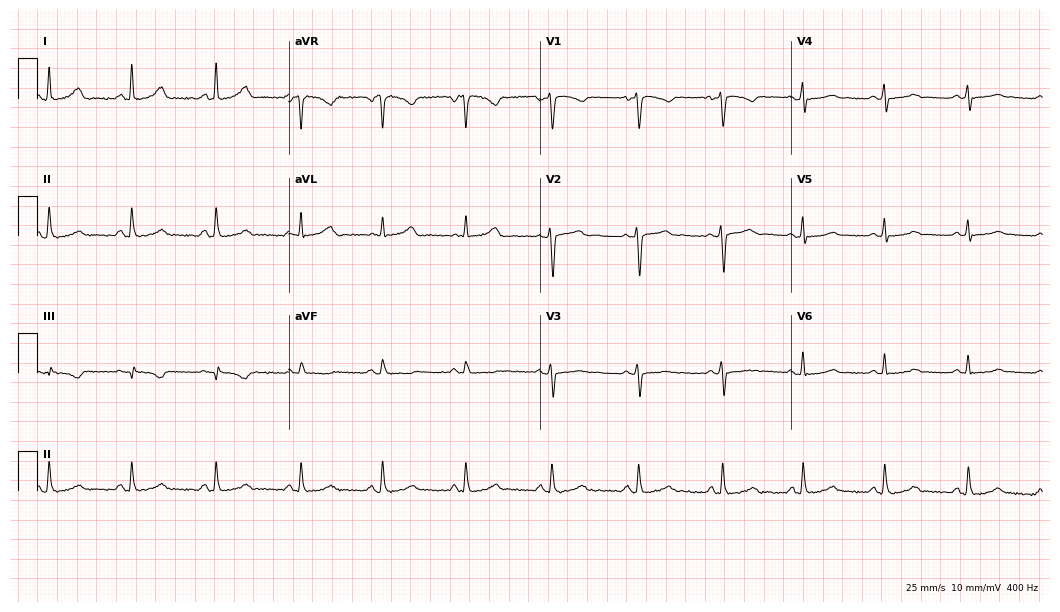
Resting 12-lead electrocardiogram. Patient: a 33-year-old woman. None of these six findings is recorded: first-degree AV block, right bundle branch block, left bundle branch block, sinus bradycardia, atrial fibrillation, sinus tachycardia.